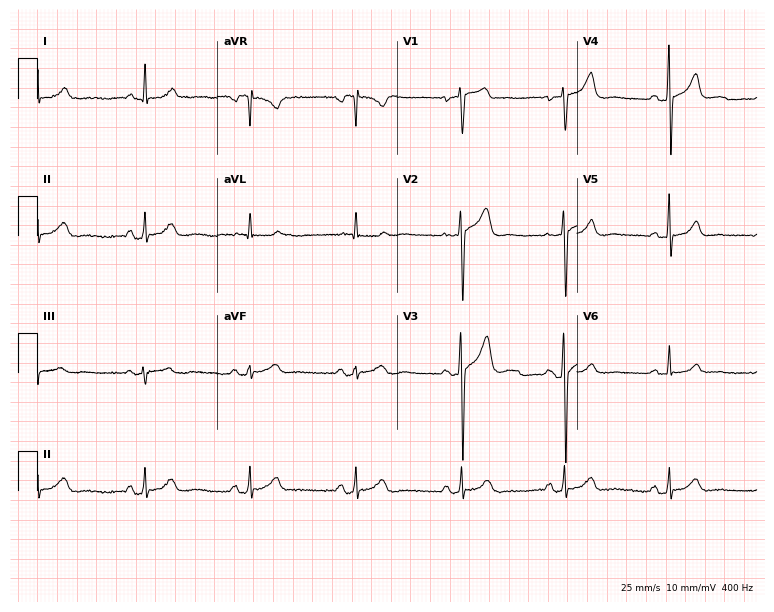
12-lead ECG (7.3-second recording at 400 Hz) from a 49-year-old man. Labelled as a normal ECG.